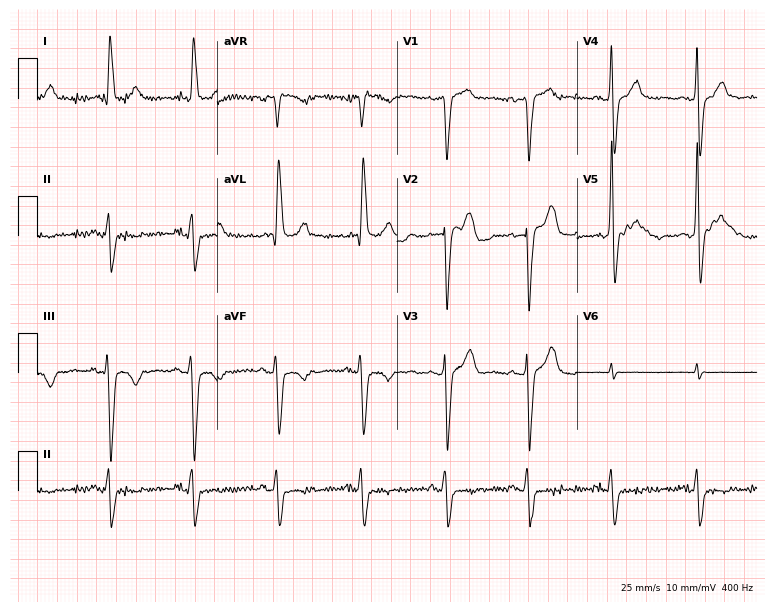
12-lead ECG from a man, 79 years old (7.3-second recording at 400 Hz). No first-degree AV block, right bundle branch block, left bundle branch block, sinus bradycardia, atrial fibrillation or sinus tachycardia recorded for this tracing.